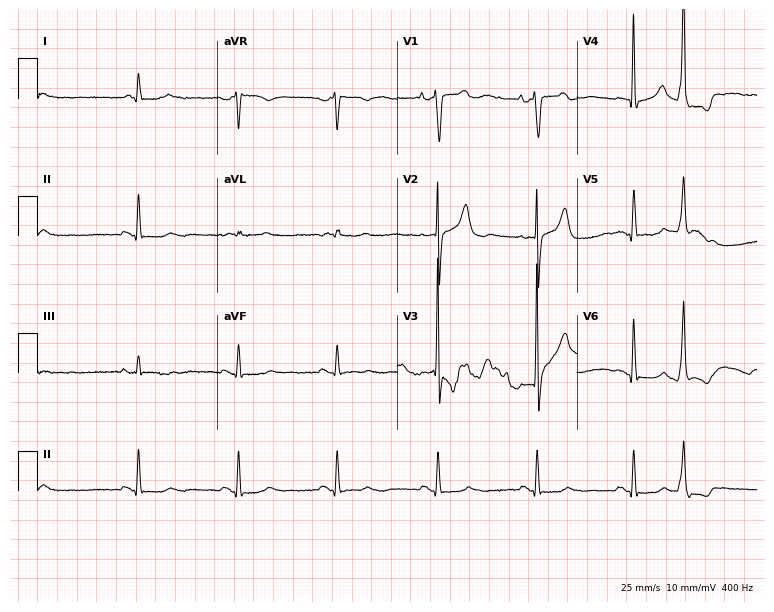
ECG — a man, 83 years old. Screened for six findings — first-degree AV block, right bundle branch block, left bundle branch block, sinus bradycardia, atrial fibrillation, sinus tachycardia — none is recorded.